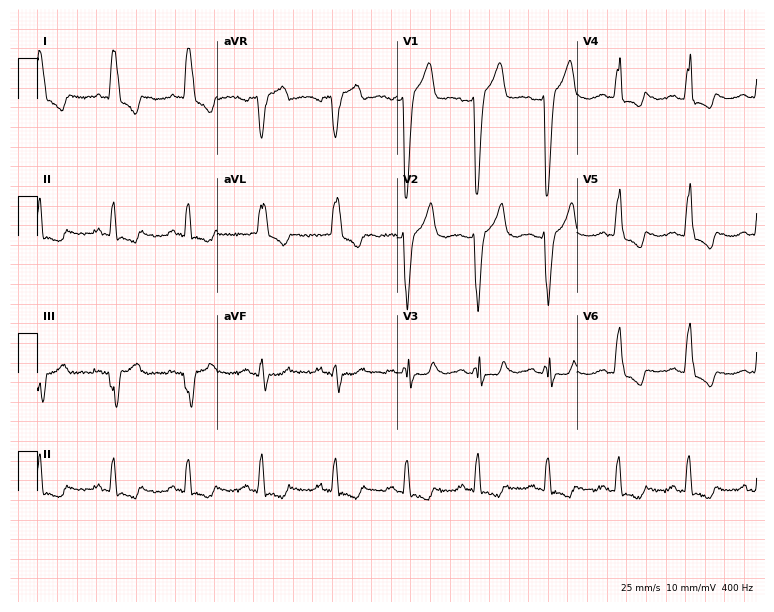
ECG (7.3-second recording at 400 Hz) — a 72-year-old male. Findings include left bundle branch block.